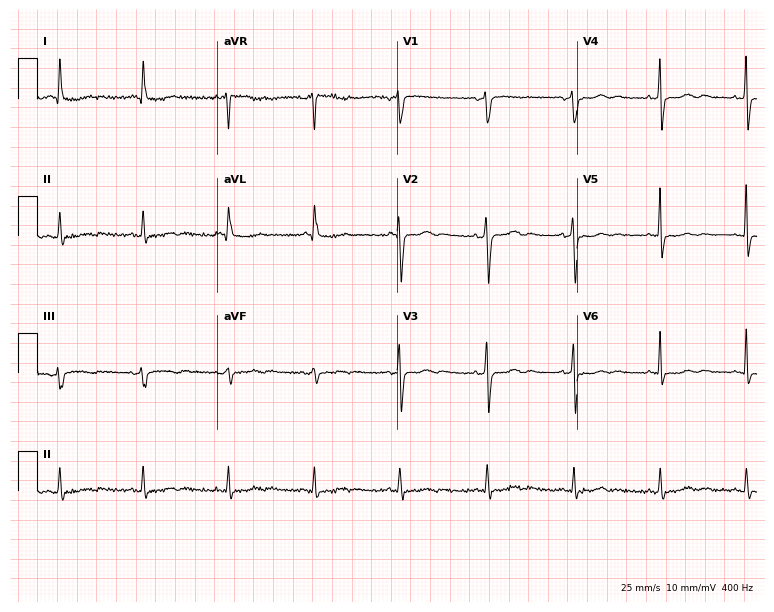
12-lead ECG from a woman, 67 years old. Recorded interpretation: within normal limits.